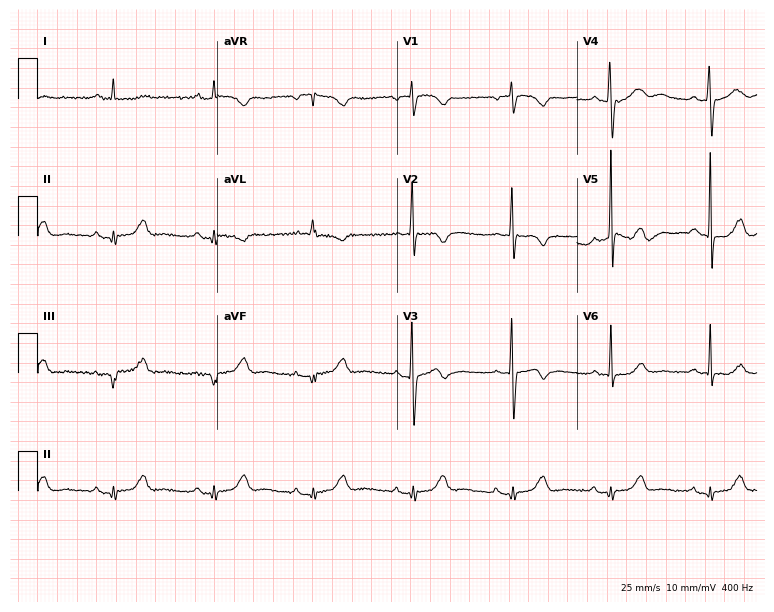
ECG (7.3-second recording at 400 Hz) — a woman, 56 years old. Screened for six findings — first-degree AV block, right bundle branch block, left bundle branch block, sinus bradycardia, atrial fibrillation, sinus tachycardia — none is recorded. Other findings, if any, are not listed.